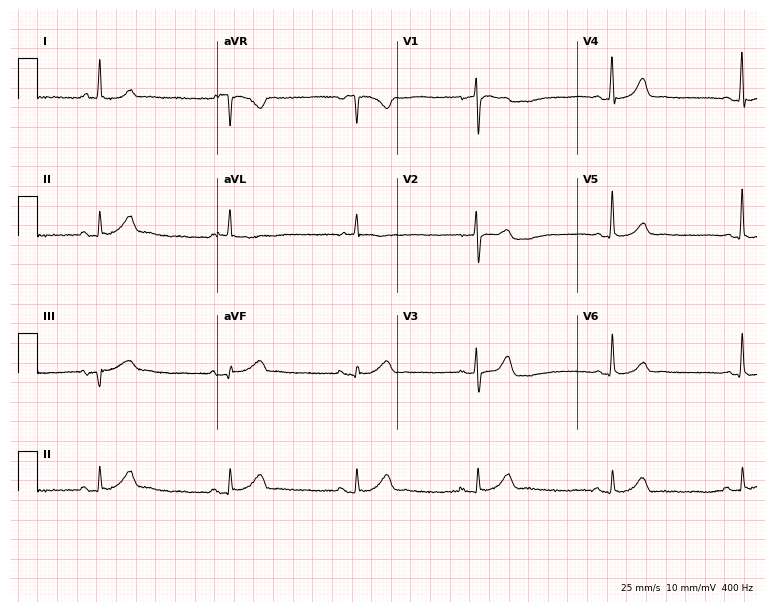
Electrocardiogram, a female patient, 81 years old. Overall reading on record: normal ECG.